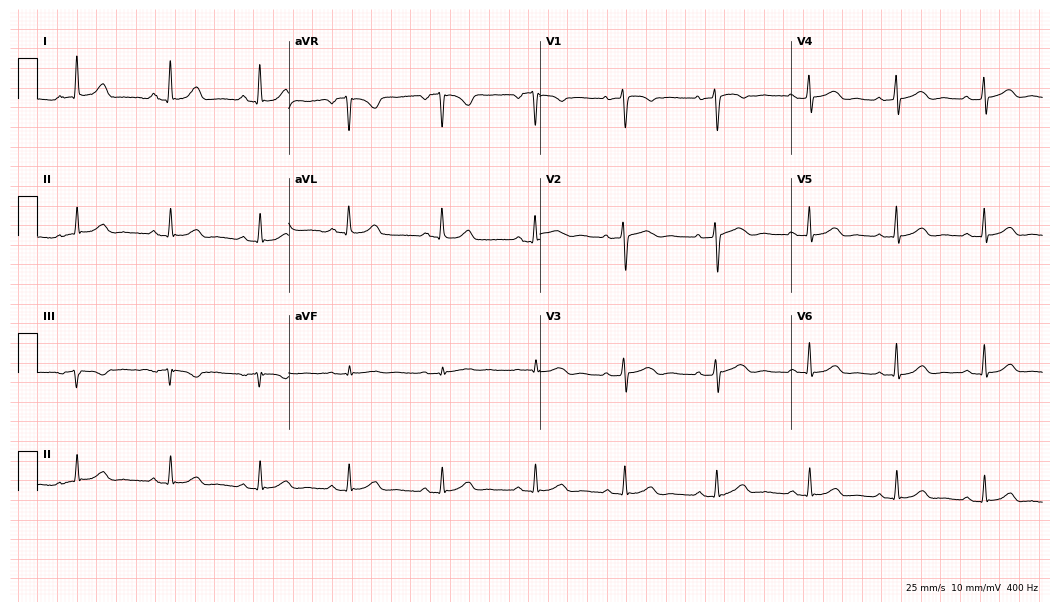
Standard 12-lead ECG recorded from a female patient, 42 years old. Read as a normal ECG.